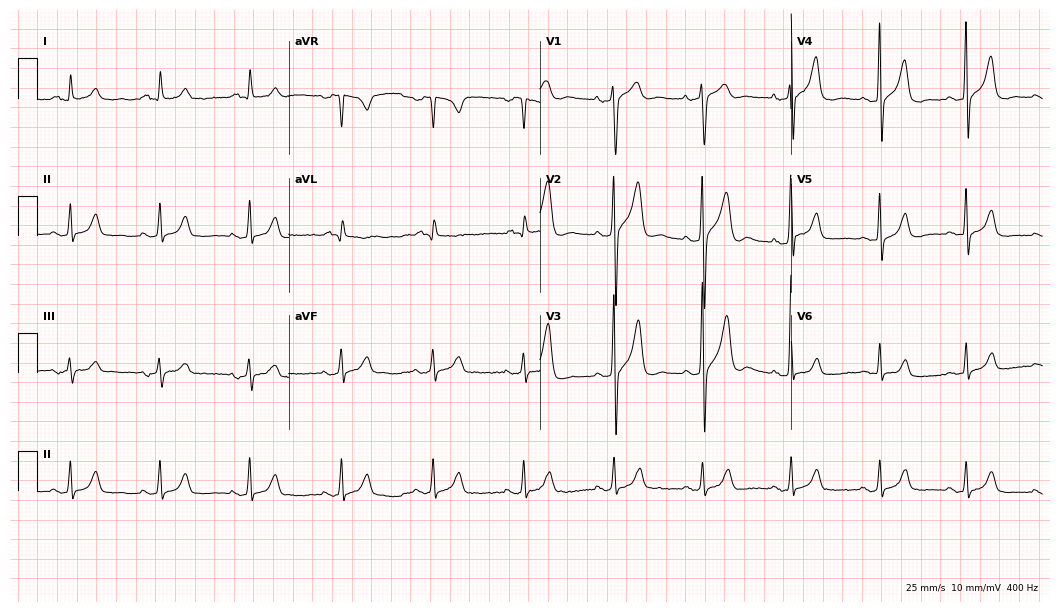
Resting 12-lead electrocardiogram. Patient: a male, 42 years old. None of these six findings is recorded: first-degree AV block, right bundle branch block, left bundle branch block, sinus bradycardia, atrial fibrillation, sinus tachycardia.